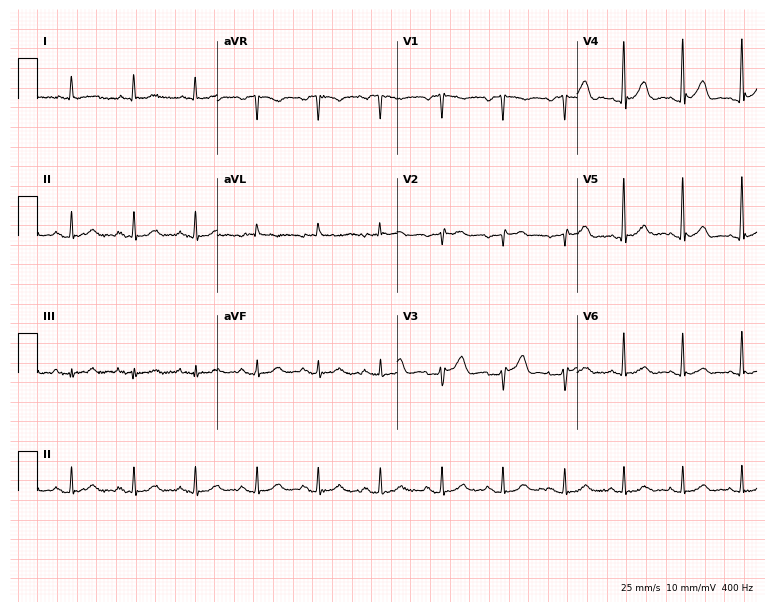
Electrocardiogram (7.3-second recording at 400 Hz), a male, 81 years old. Overall reading on record: normal ECG.